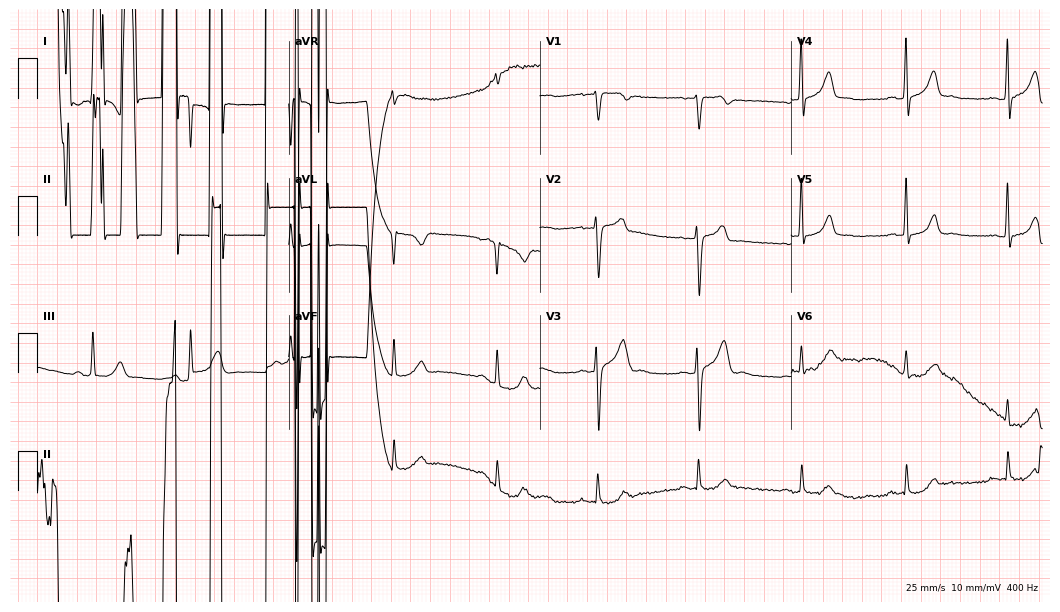
Standard 12-lead ECG recorded from a male patient, 37 years old. None of these six findings is recorded: first-degree AV block, right bundle branch block (RBBB), left bundle branch block (LBBB), sinus bradycardia, atrial fibrillation (AF), sinus tachycardia. Findings outside these six are not listed.